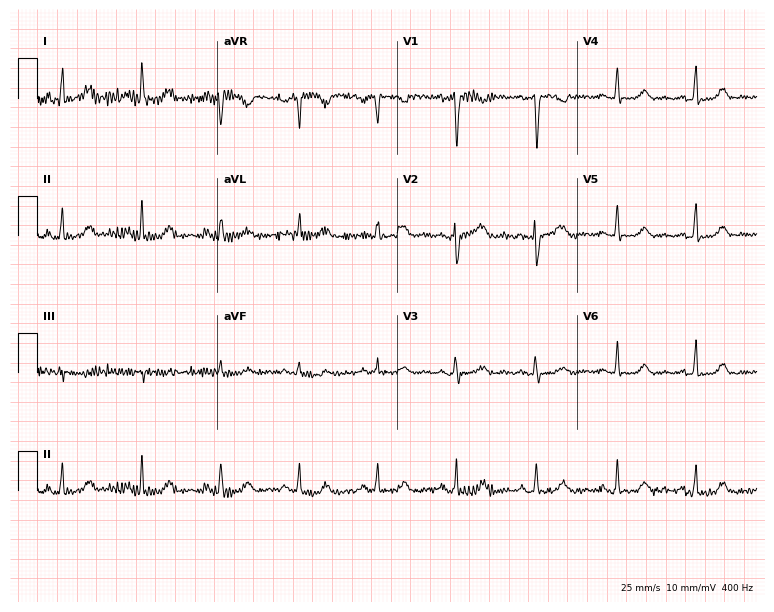
Resting 12-lead electrocardiogram (7.3-second recording at 400 Hz). Patient: a 44-year-old female. None of these six findings is recorded: first-degree AV block, right bundle branch block, left bundle branch block, sinus bradycardia, atrial fibrillation, sinus tachycardia.